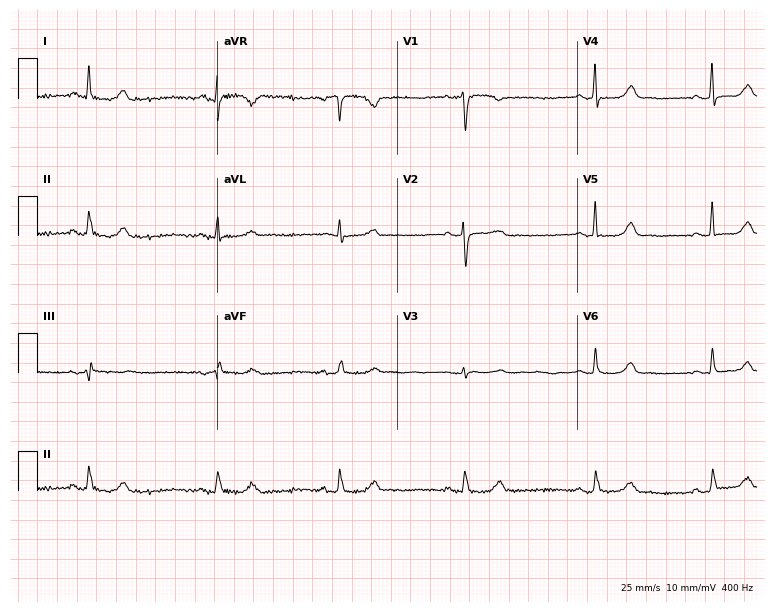
12-lead ECG from a woman, 58 years old. Labelled as a normal ECG.